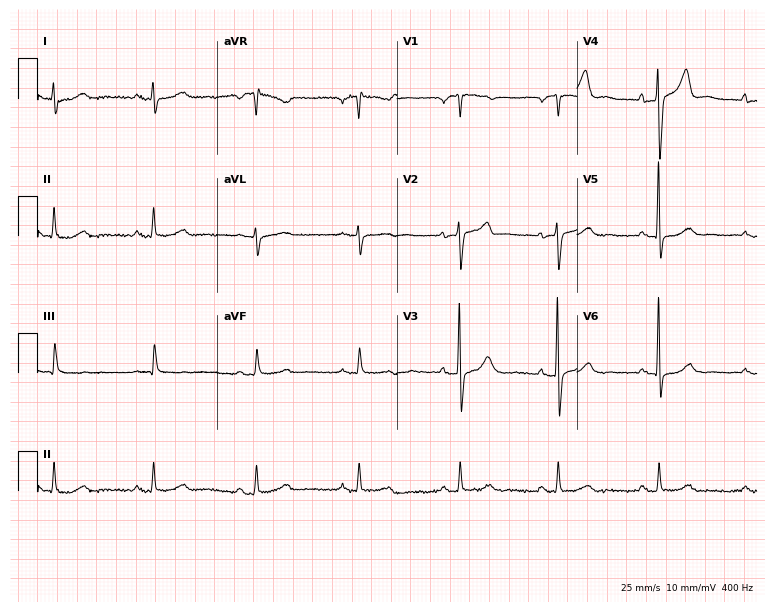
ECG — a 42-year-old male. Labelled as a normal ECG.